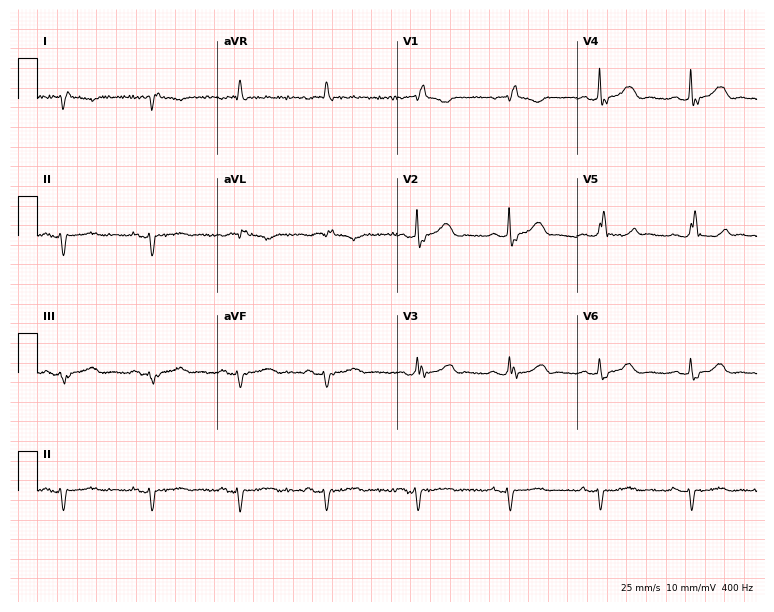
Electrocardiogram, a female, 75 years old. Interpretation includes right bundle branch block.